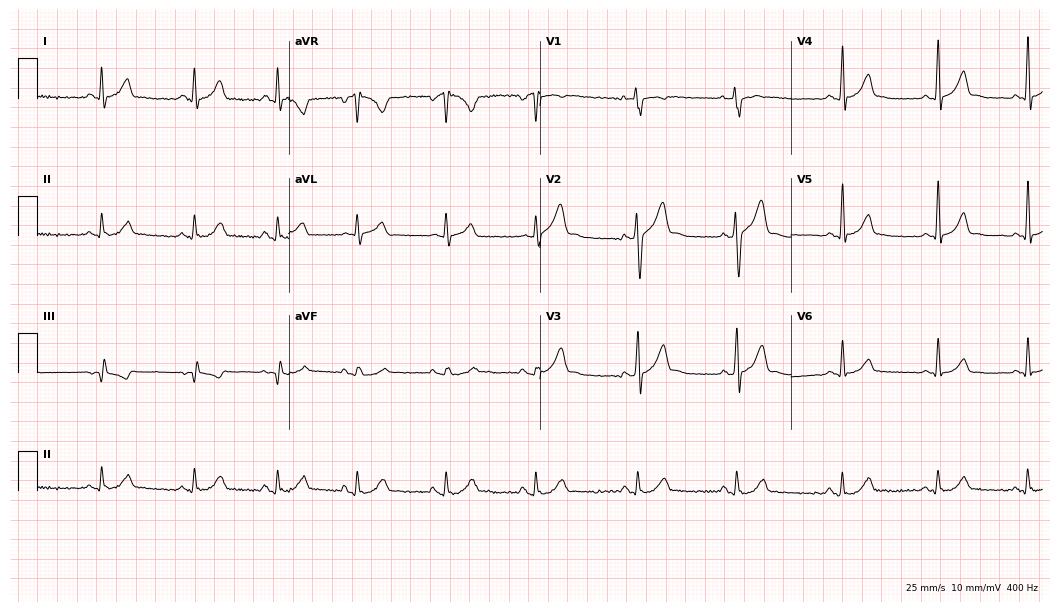
ECG (10.2-second recording at 400 Hz) — a male, 52 years old. Labelled as a normal ECG.